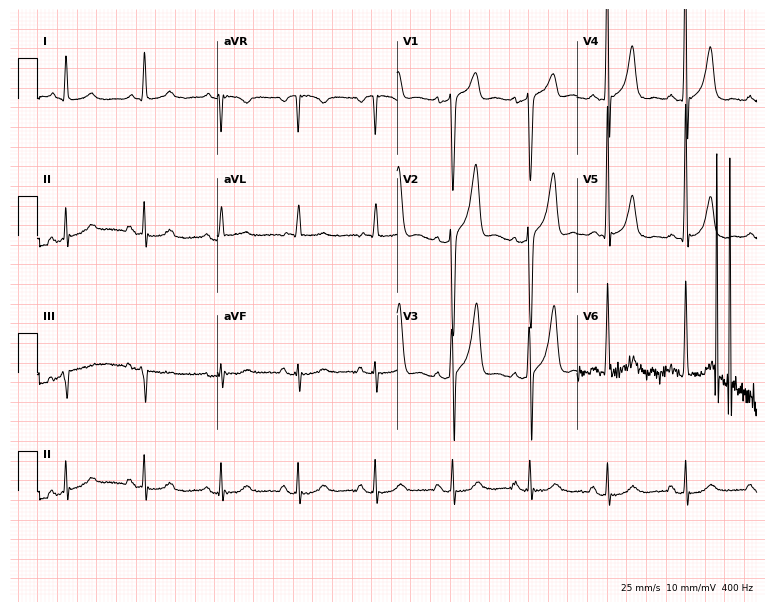
ECG (7.3-second recording at 400 Hz) — a 59-year-old male patient. Screened for six findings — first-degree AV block, right bundle branch block (RBBB), left bundle branch block (LBBB), sinus bradycardia, atrial fibrillation (AF), sinus tachycardia — none is recorded.